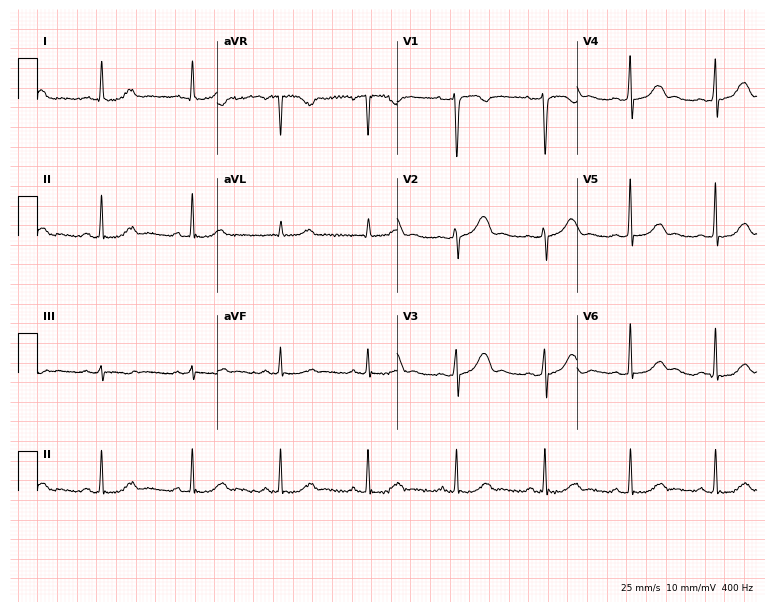
ECG — a female, 41 years old. Screened for six findings — first-degree AV block, right bundle branch block, left bundle branch block, sinus bradycardia, atrial fibrillation, sinus tachycardia — none is recorded. Other findings, if any, are not listed.